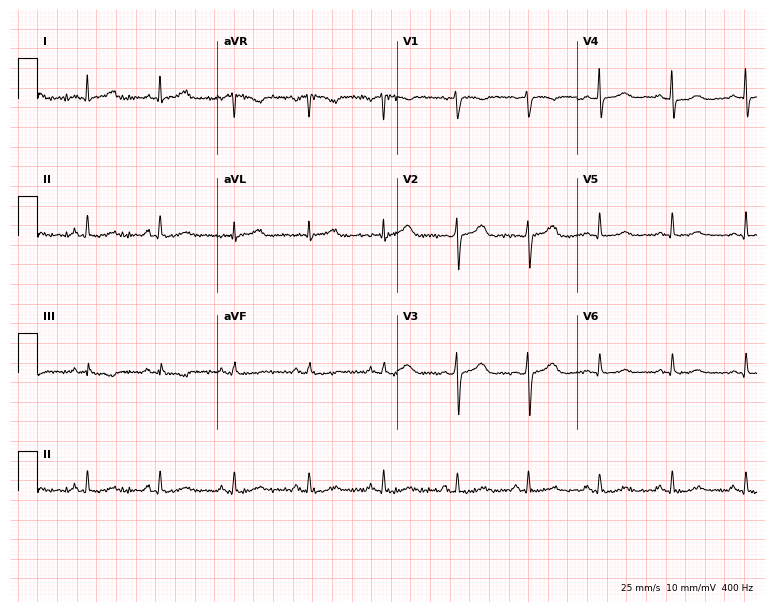
ECG (7.3-second recording at 400 Hz) — a female, 39 years old. Screened for six findings — first-degree AV block, right bundle branch block, left bundle branch block, sinus bradycardia, atrial fibrillation, sinus tachycardia — none is recorded. Other findings, if any, are not listed.